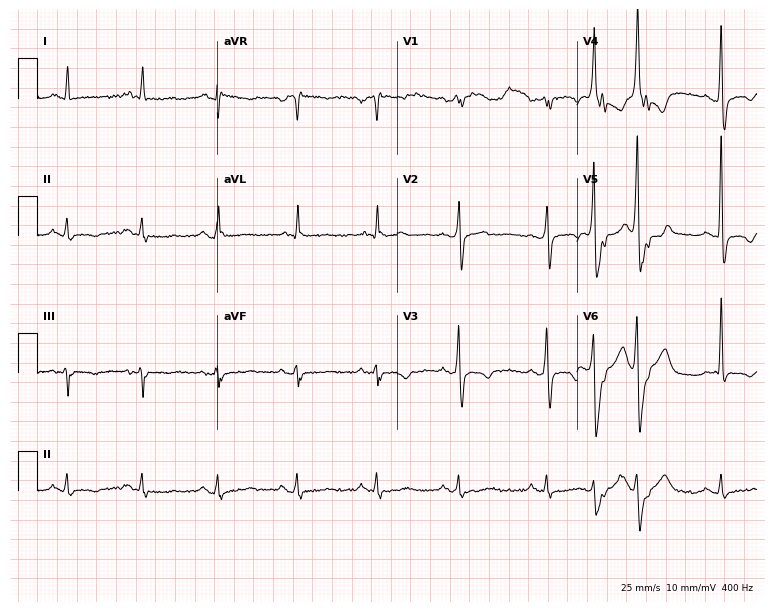
Resting 12-lead electrocardiogram (7.3-second recording at 400 Hz). Patient: a man, 58 years old. None of these six findings is recorded: first-degree AV block, right bundle branch block, left bundle branch block, sinus bradycardia, atrial fibrillation, sinus tachycardia. Other findings, if any, are not listed.